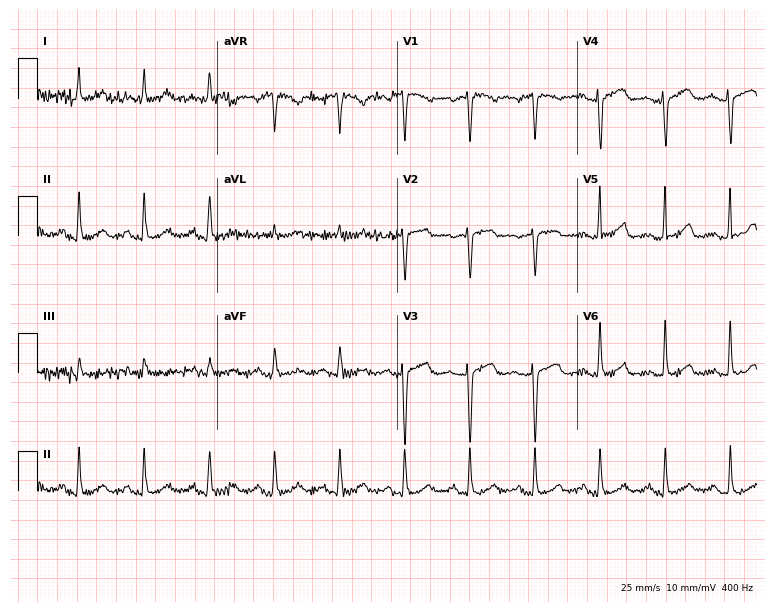
Standard 12-lead ECG recorded from a female patient, 60 years old. Read as a normal ECG.